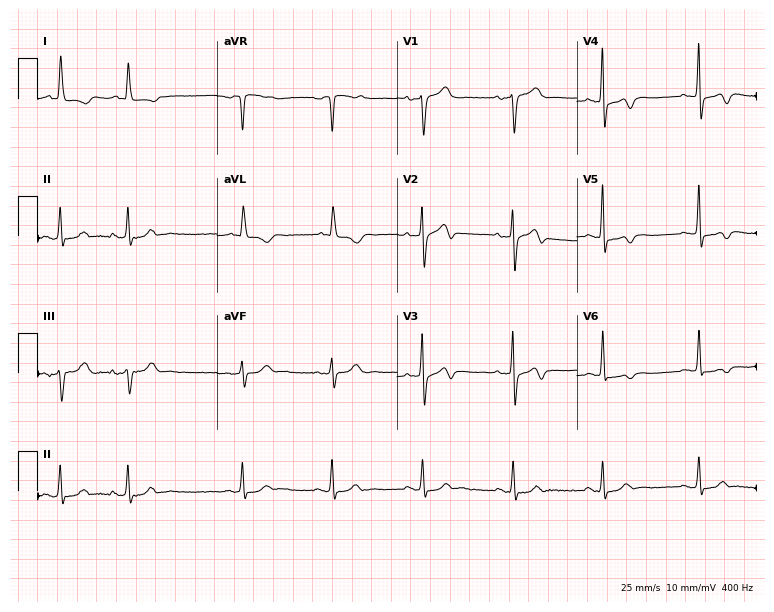
12-lead ECG from a female, 79 years old (7.3-second recording at 400 Hz). No first-degree AV block, right bundle branch block (RBBB), left bundle branch block (LBBB), sinus bradycardia, atrial fibrillation (AF) or sinus tachycardia recorded for this tracing. Other findings, if any, are not listed.